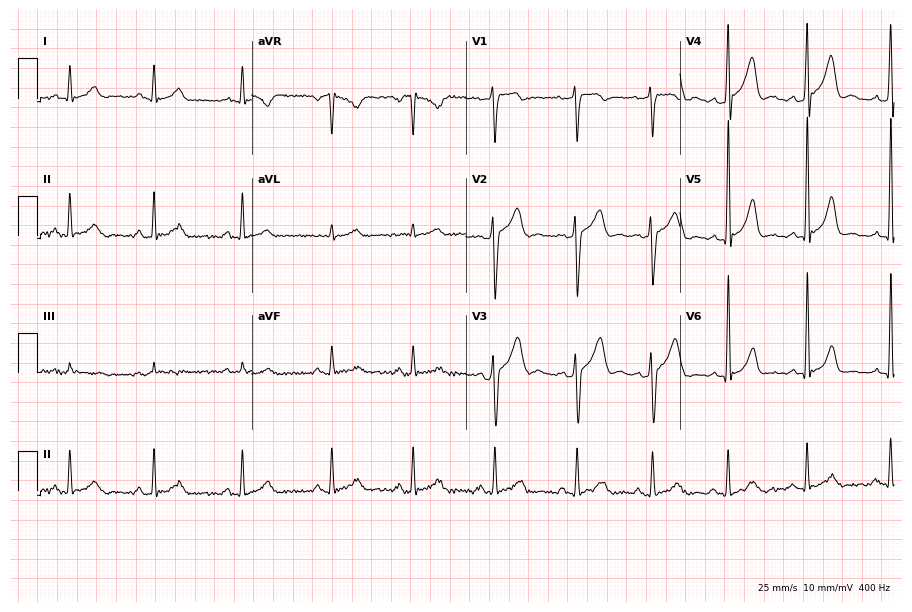
Electrocardiogram (8.7-second recording at 400 Hz), a 30-year-old man. Of the six screened findings (first-degree AV block, right bundle branch block (RBBB), left bundle branch block (LBBB), sinus bradycardia, atrial fibrillation (AF), sinus tachycardia), none is recorded.